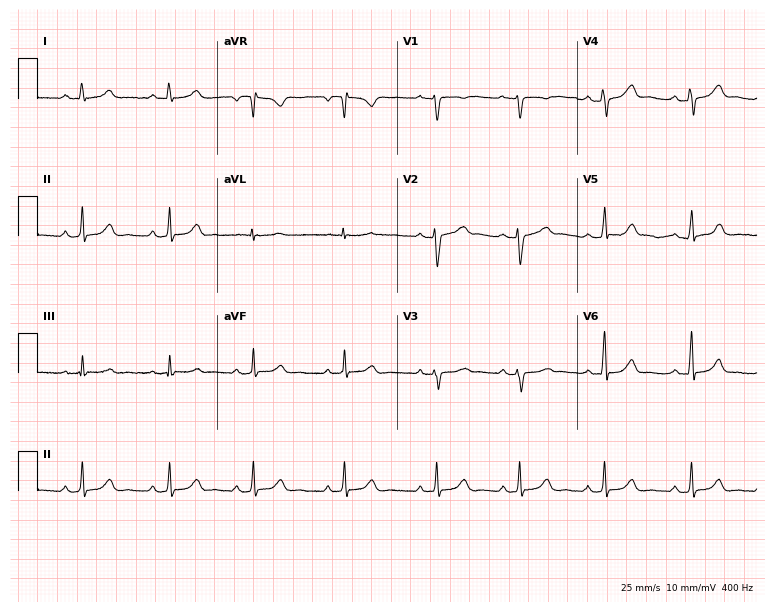
ECG (7.3-second recording at 400 Hz) — a female, 25 years old. Labelled as a normal ECG.